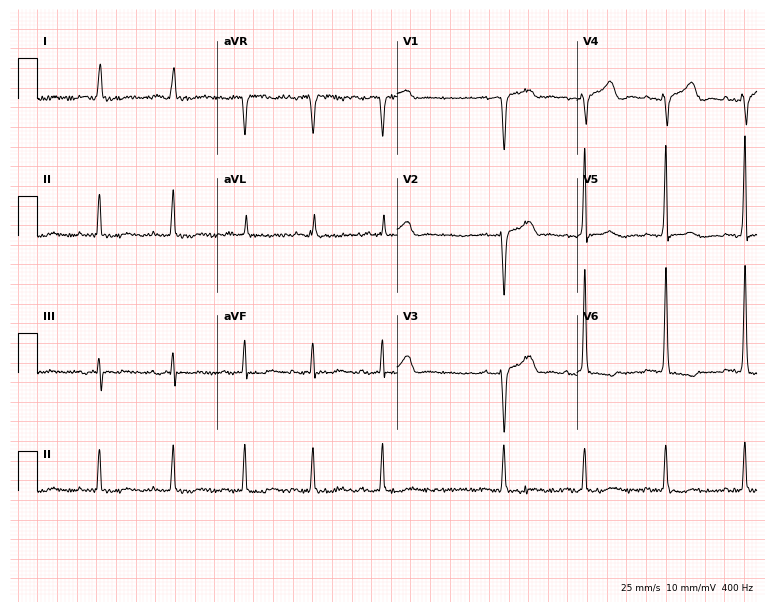
12-lead ECG from a woman, 69 years old. No first-degree AV block, right bundle branch block (RBBB), left bundle branch block (LBBB), sinus bradycardia, atrial fibrillation (AF) or sinus tachycardia recorded for this tracing.